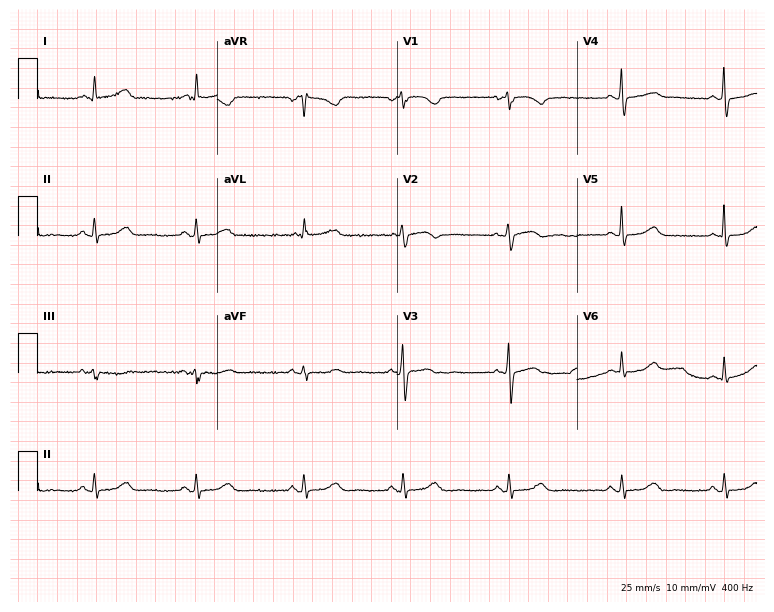
Resting 12-lead electrocardiogram (7.3-second recording at 400 Hz). Patient: a 49-year-old woman. Read as a normal ECG.